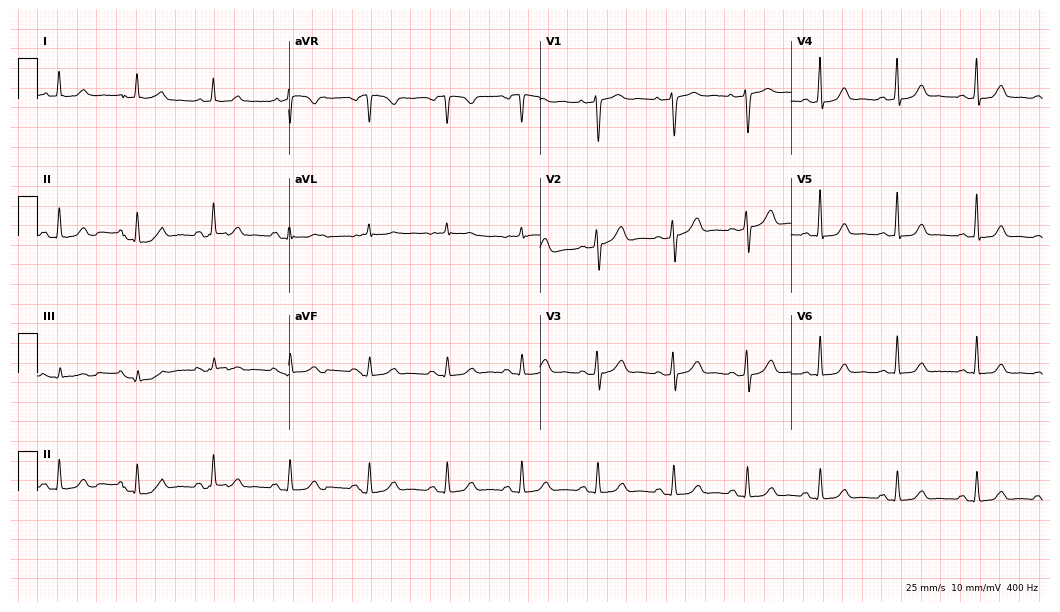
Standard 12-lead ECG recorded from a female, 40 years old (10.2-second recording at 400 Hz). Read as a normal ECG.